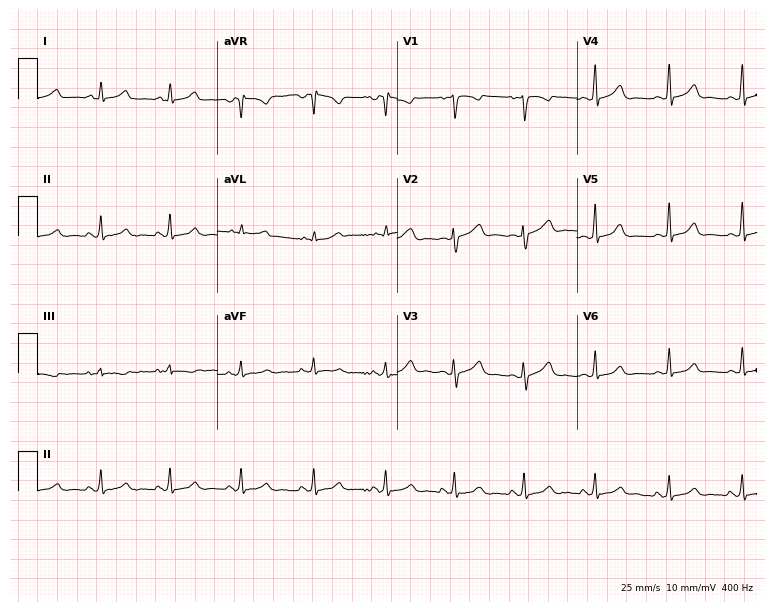
ECG (7.3-second recording at 400 Hz) — a 19-year-old woman. Screened for six findings — first-degree AV block, right bundle branch block (RBBB), left bundle branch block (LBBB), sinus bradycardia, atrial fibrillation (AF), sinus tachycardia — none is recorded. Other findings, if any, are not listed.